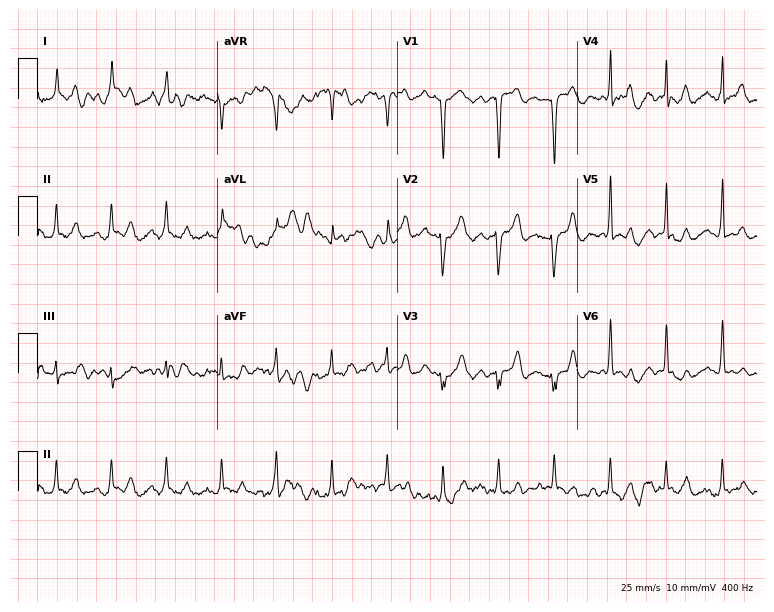
ECG (7.3-second recording at 400 Hz) — a female patient, 75 years old. Screened for six findings — first-degree AV block, right bundle branch block, left bundle branch block, sinus bradycardia, atrial fibrillation, sinus tachycardia — none is recorded.